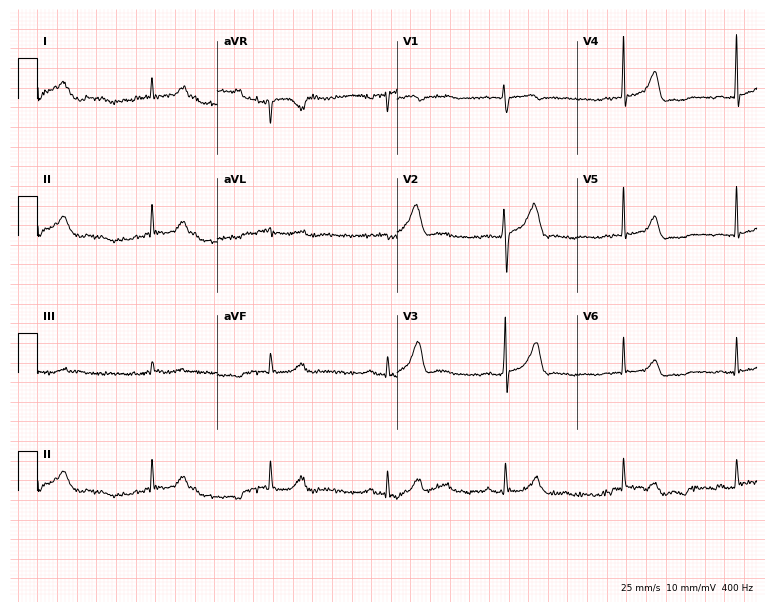
Standard 12-lead ECG recorded from a male, 42 years old. None of these six findings is recorded: first-degree AV block, right bundle branch block (RBBB), left bundle branch block (LBBB), sinus bradycardia, atrial fibrillation (AF), sinus tachycardia.